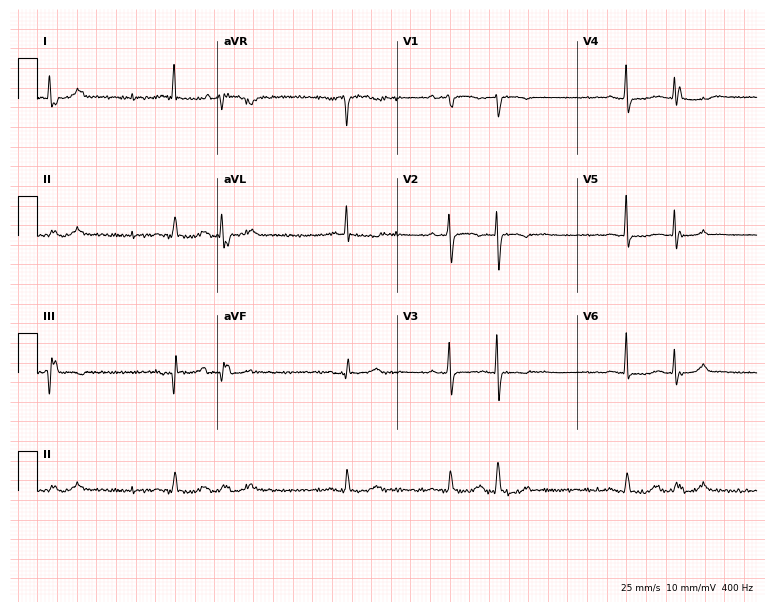
12-lead ECG from a 69-year-old woman. No first-degree AV block, right bundle branch block (RBBB), left bundle branch block (LBBB), sinus bradycardia, atrial fibrillation (AF) or sinus tachycardia recorded for this tracing. Only these six findings were labelled.